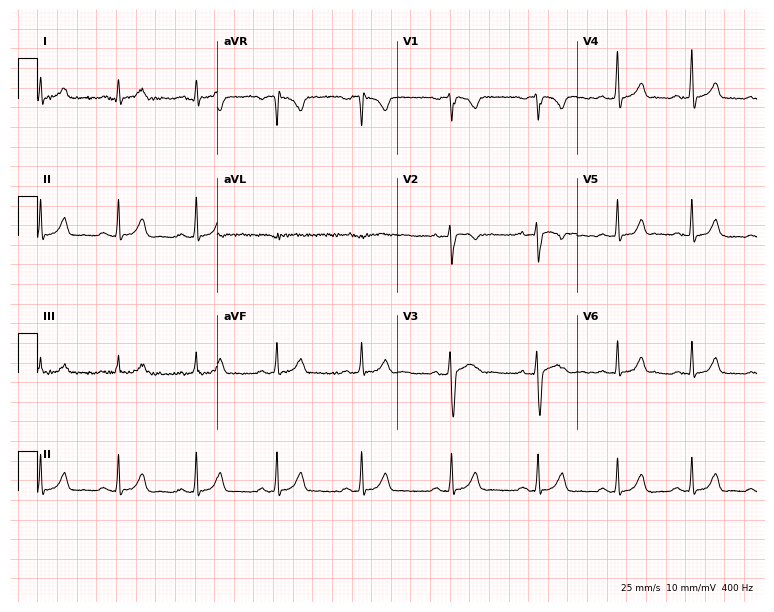
12-lead ECG from a woman, 19 years old (7.3-second recording at 400 Hz). Recorded interpretation: within normal limits.